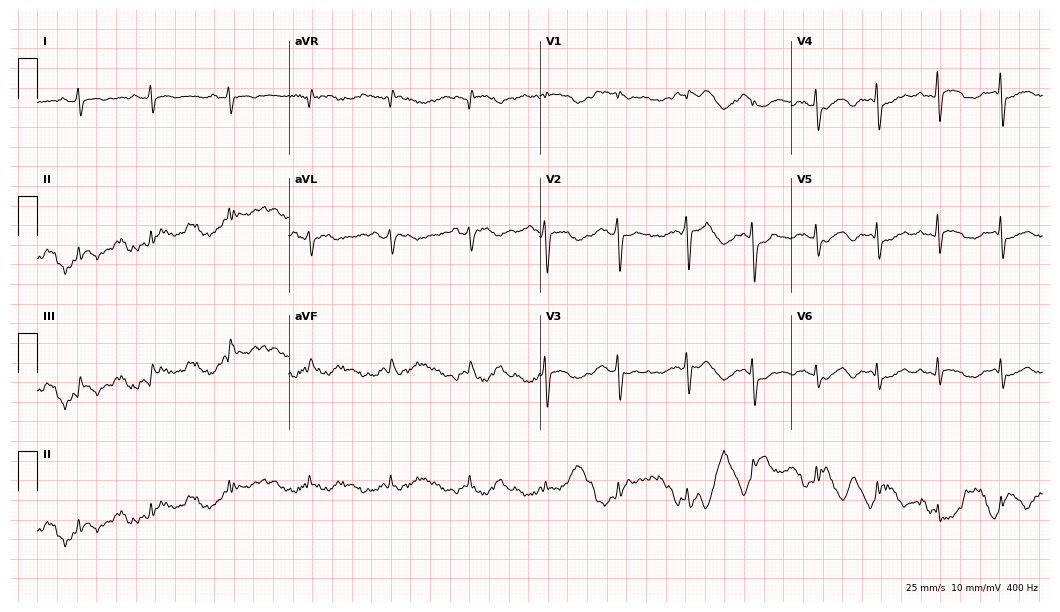
Standard 12-lead ECG recorded from a male, 45 years old. None of these six findings is recorded: first-degree AV block, right bundle branch block (RBBB), left bundle branch block (LBBB), sinus bradycardia, atrial fibrillation (AF), sinus tachycardia. Only these six findings were labelled.